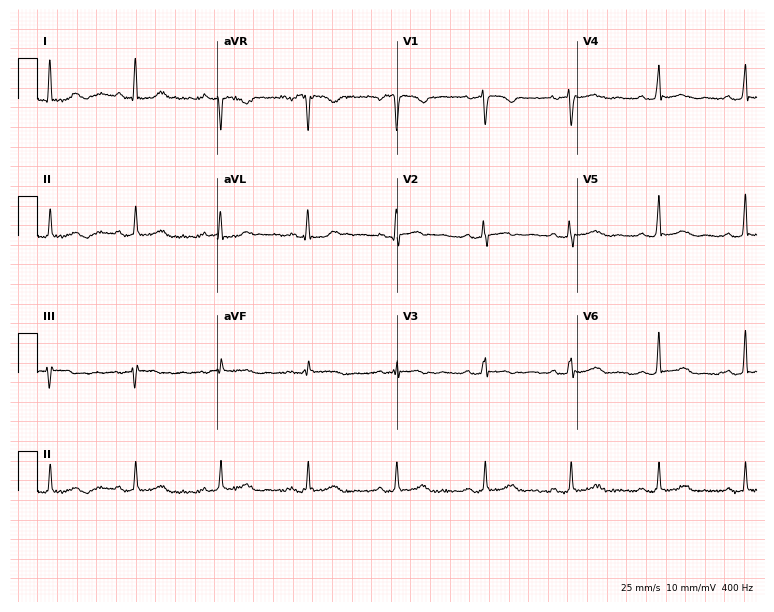
Standard 12-lead ECG recorded from a woman, 38 years old (7.3-second recording at 400 Hz). None of these six findings is recorded: first-degree AV block, right bundle branch block (RBBB), left bundle branch block (LBBB), sinus bradycardia, atrial fibrillation (AF), sinus tachycardia.